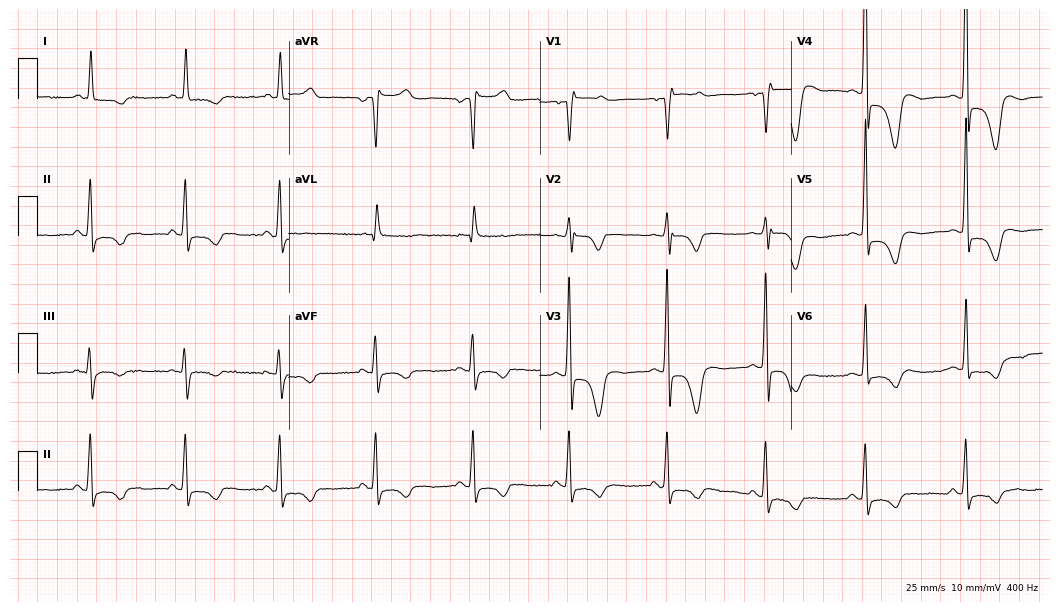
Standard 12-lead ECG recorded from a woman, 73 years old. None of these six findings is recorded: first-degree AV block, right bundle branch block, left bundle branch block, sinus bradycardia, atrial fibrillation, sinus tachycardia.